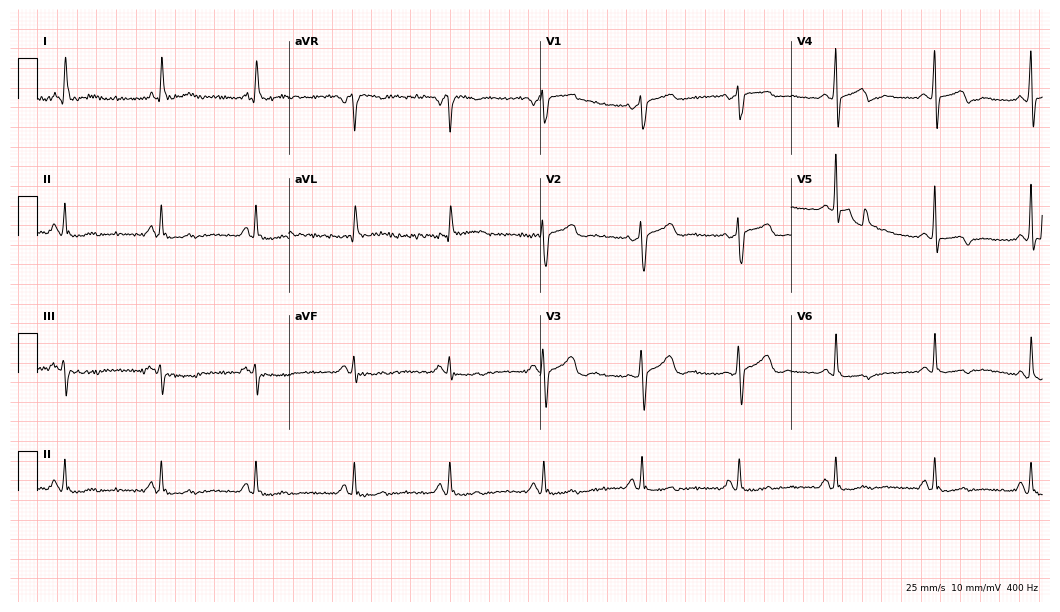
12-lead ECG from a female patient, 62 years old. Screened for six findings — first-degree AV block, right bundle branch block, left bundle branch block, sinus bradycardia, atrial fibrillation, sinus tachycardia — none is recorded.